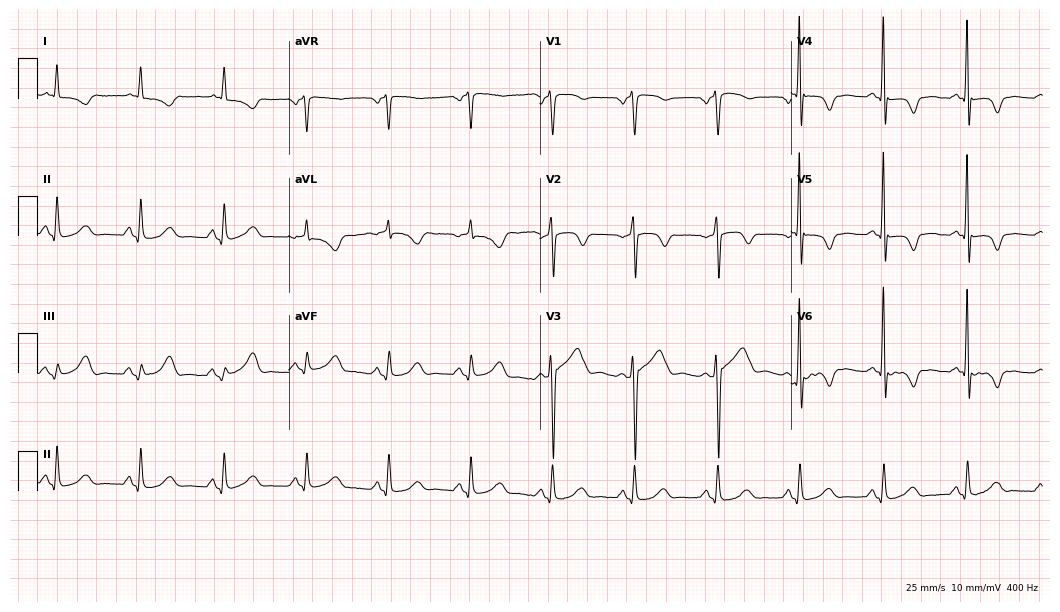
12-lead ECG (10.2-second recording at 400 Hz) from a male patient, 53 years old. Screened for six findings — first-degree AV block, right bundle branch block, left bundle branch block, sinus bradycardia, atrial fibrillation, sinus tachycardia — none is recorded.